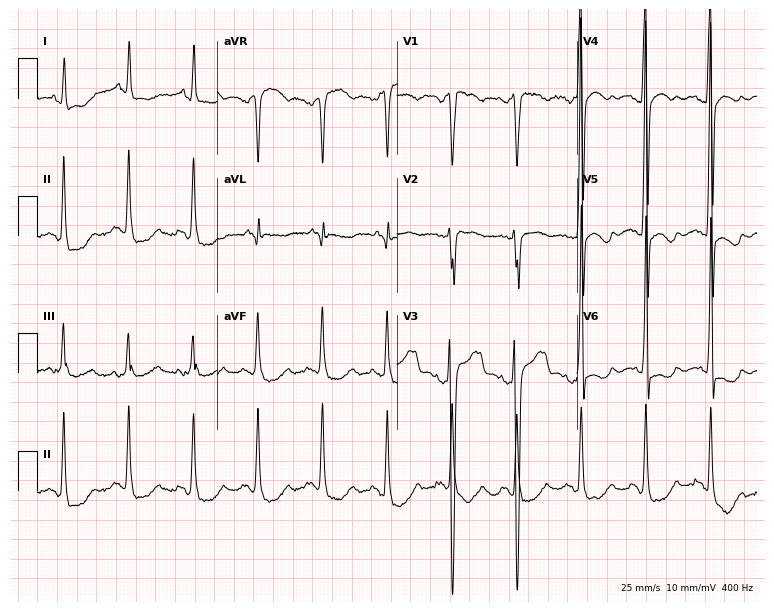
Resting 12-lead electrocardiogram. Patient: a male, 51 years old. None of these six findings is recorded: first-degree AV block, right bundle branch block, left bundle branch block, sinus bradycardia, atrial fibrillation, sinus tachycardia. Findings outside these six are not listed.